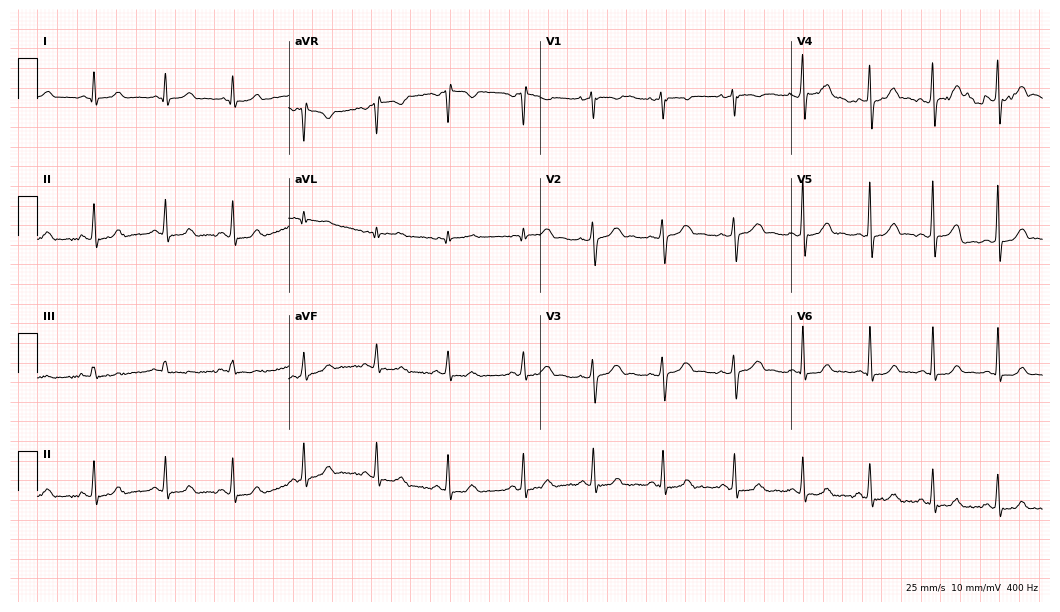
12-lead ECG from an 18-year-old woman. Labelled as a normal ECG.